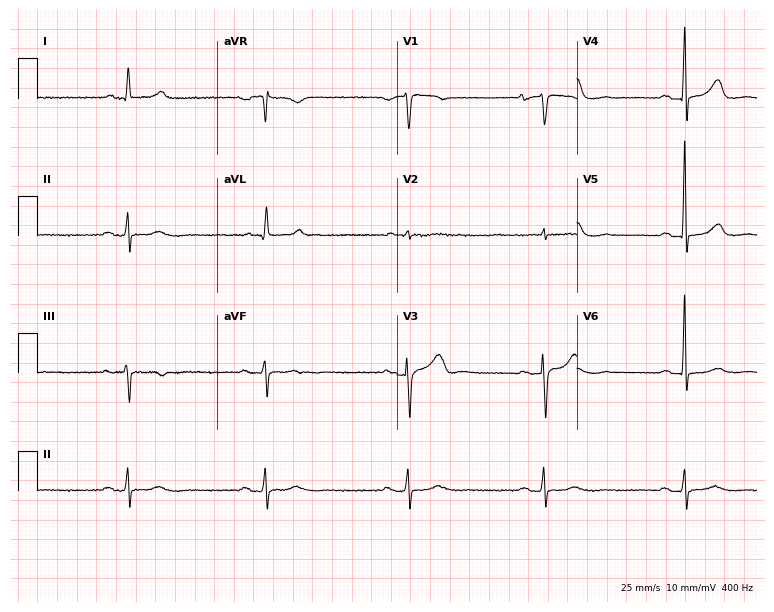
Standard 12-lead ECG recorded from an 80-year-old woman. The tracing shows first-degree AV block, sinus bradycardia (a sinus rate of 50 beats per minute or less).